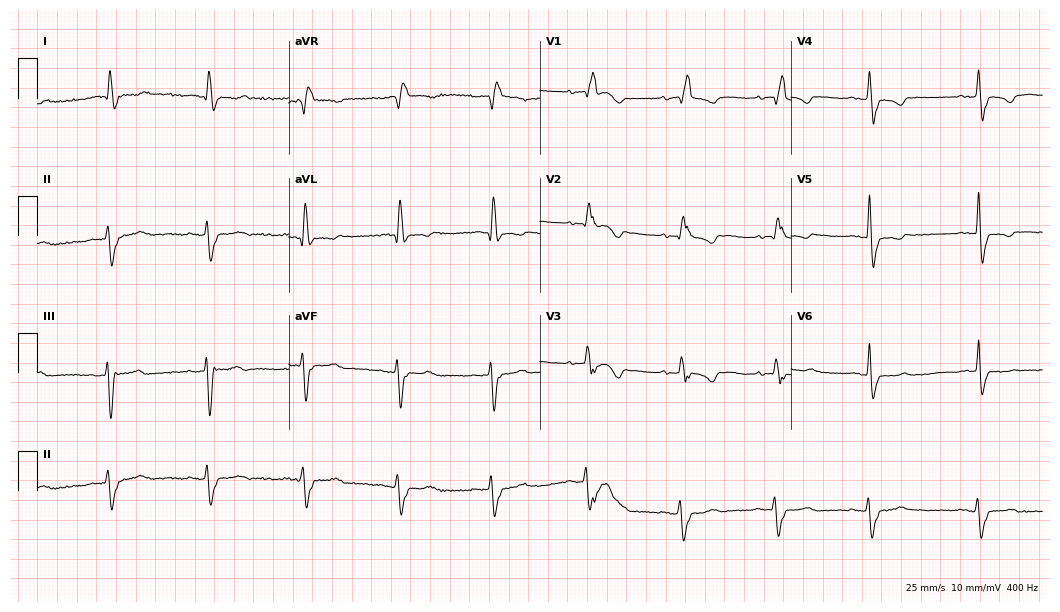
12-lead ECG from an 85-year-old woman. Findings include right bundle branch block.